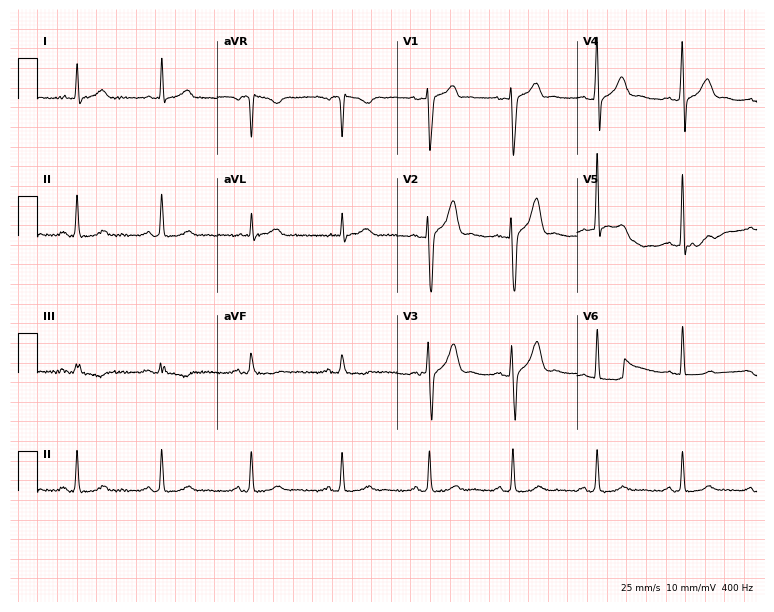
Electrocardiogram, a 33-year-old male. Of the six screened findings (first-degree AV block, right bundle branch block, left bundle branch block, sinus bradycardia, atrial fibrillation, sinus tachycardia), none is recorded.